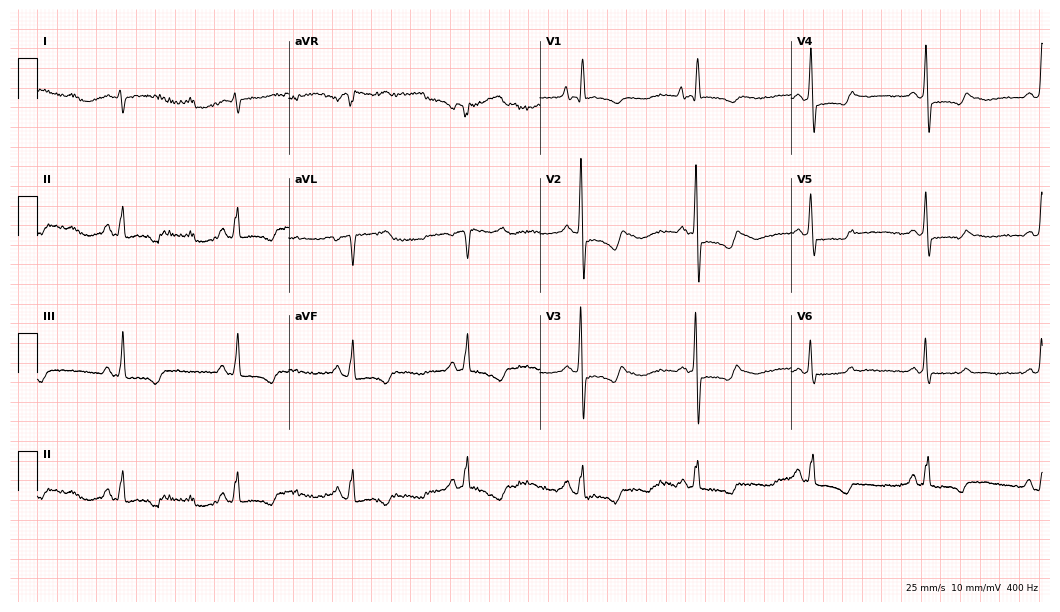
Resting 12-lead electrocardiogram. Patient: a man, 77 years old. None of these six findings is recorded: first-degree AV block, right bundle branch block, left bundle branch block, sinus bradycardia, atrial fibrillation, sinus tachycardia. Only these six findings were labelled.